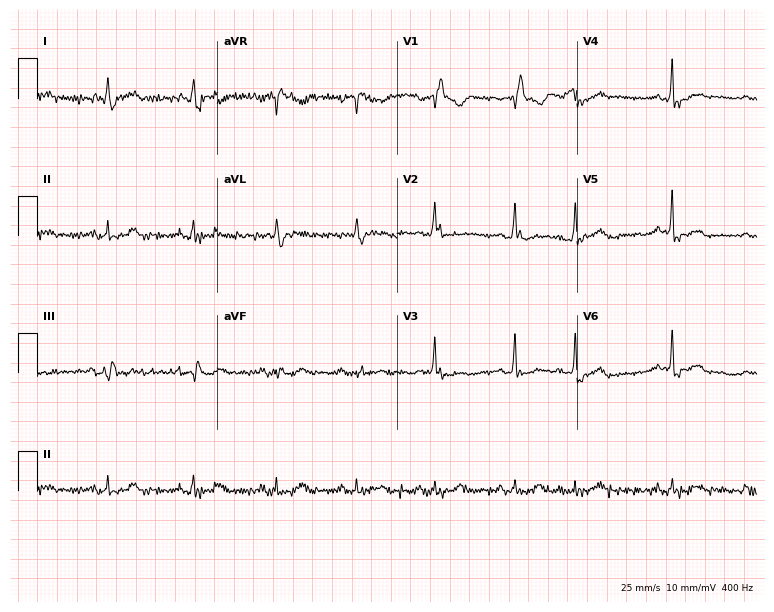
12-lead ECG from a man, 75 years old. Findings include right bundle branch block.